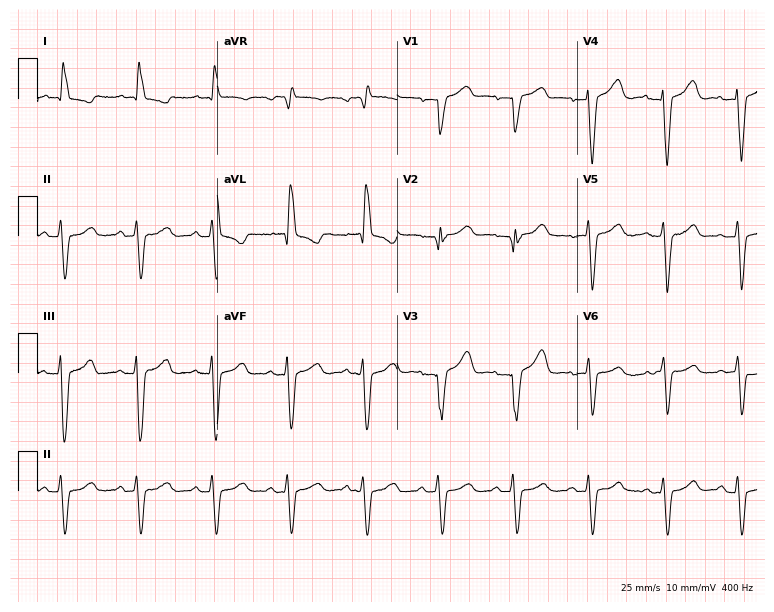
12-lead ECG (7.3-second recording at 400 Hz) from a 72-year-old female. Screened for six findings — first-degree AV block, right bundle branch block, left bundle branch block, sinus bradycardia, atrial fibrillation, sinus tachycardia — none is recorded.